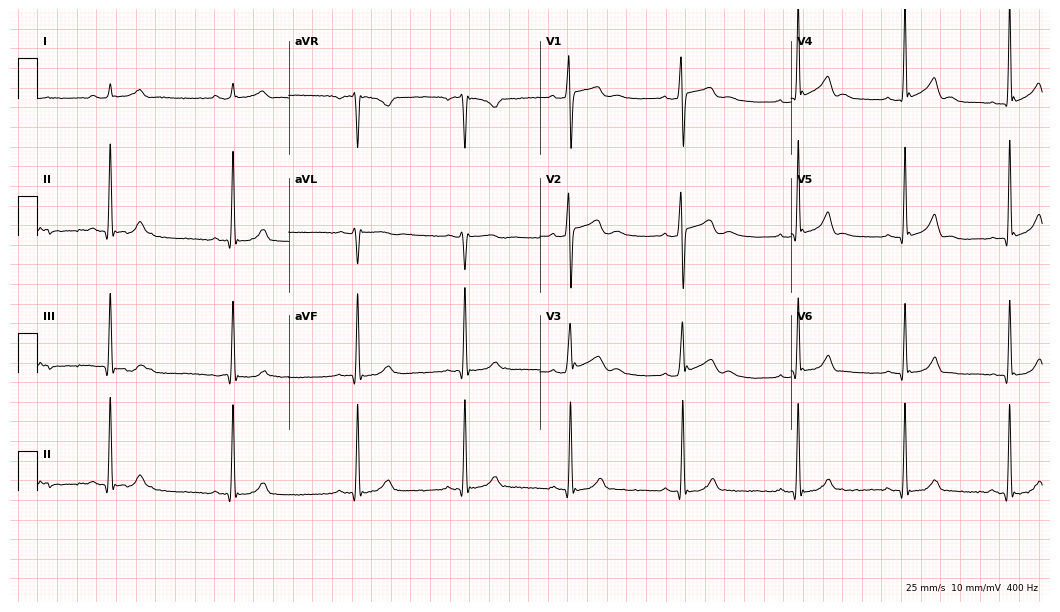
12-lead ECG from a male patient, 19 years old (10.2-second recording at 400 Hz). No first-degree AV block, right bundle branch block (RBBB), left bundle branch block (LBBB), sinus bradycardia, atrial fibrillation (AF) or sinus tachycardia recorded for this tracing.